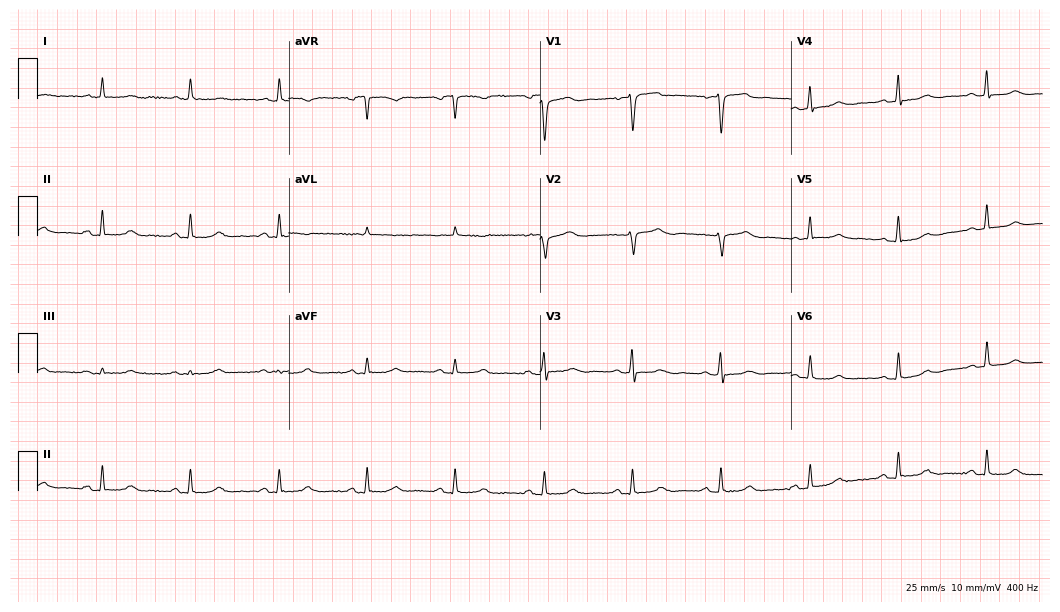
12-lead ECG from a 70-year-old female. No first-degree AV block, right bundle branch block, left bundle branch block, sinus bradycardia, atrial fibrillation or sinus tachycardia recorded for this tracing.